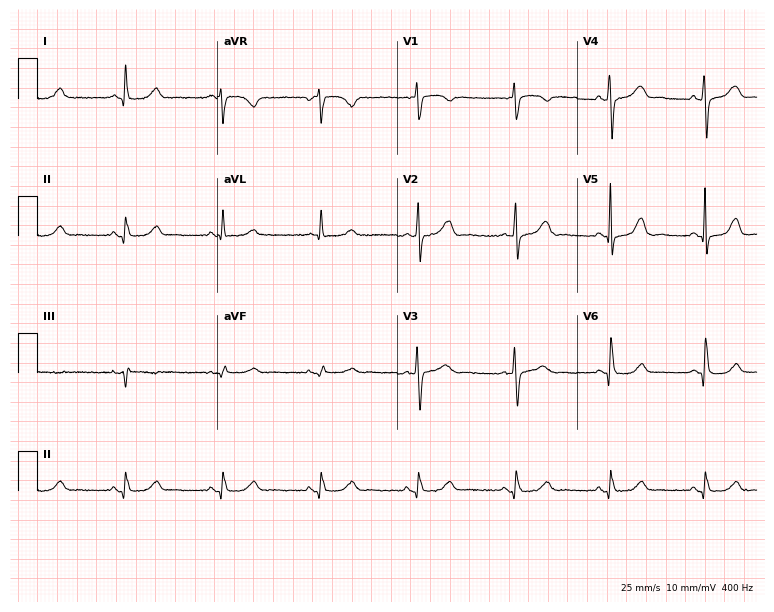
12-lead ECG from a female, 71 years old (7.3-second recording at 400 Hz). Recorded interpretation: within normal limits.